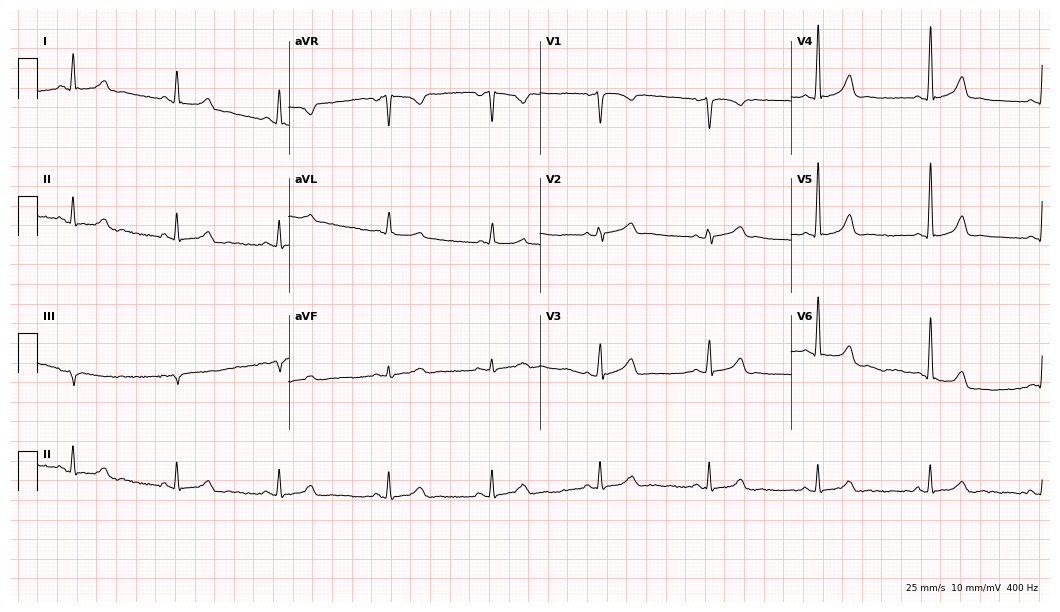
Electrocardiogram (10.2-second recording at 400 Hz), a female, 47 years old. Overall reading on record: normal ECG.